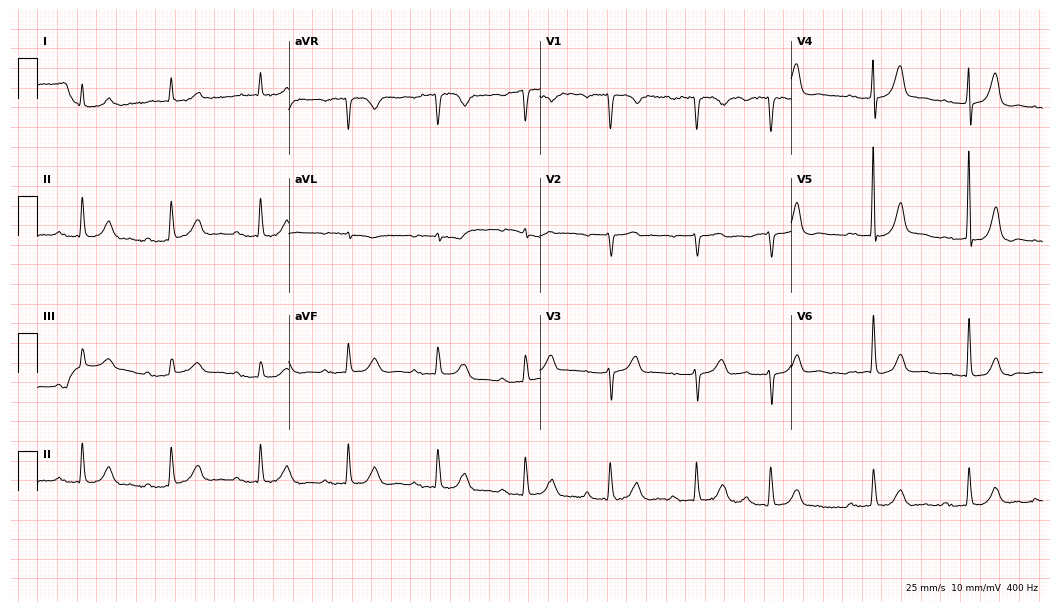
12-lead ECG (10.2-second recording at 400 Hz) from an 82-year-old male. Findings include first-degree AV block, atrial fibrillation (AF).